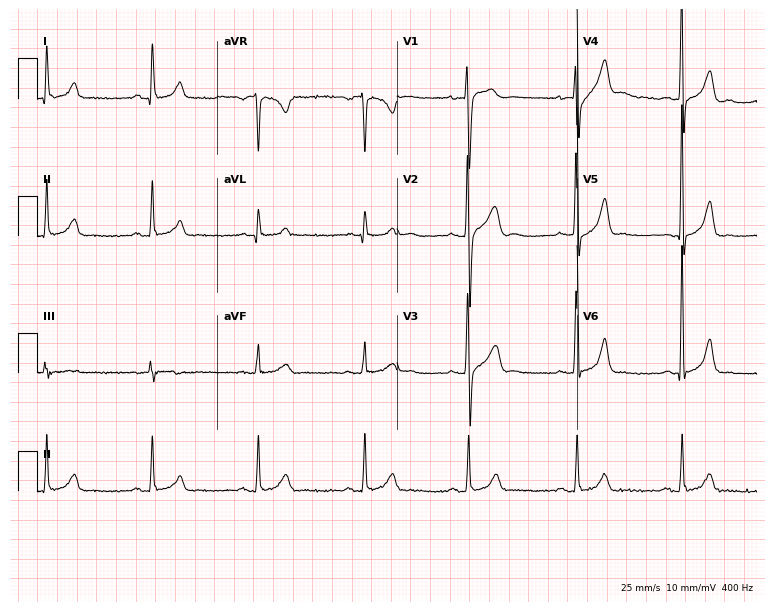
ECG (7.3-second recording at 400 Hz) — a 46-year-old male. Screened for six findings — first-degree AV block, right bundle branch block, left bundle branch block, sinus bradycardia, atrial fibrillation, sinus tachycardia — none is recorded.